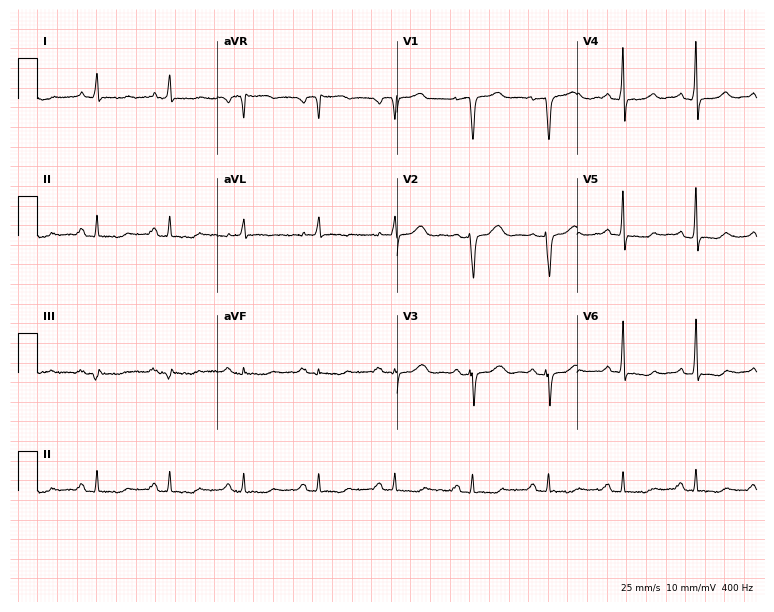
Standard 12-lead ECG recorded from a 68-year-old woman (7.3-second recording at 400 Hz). None of these six findings is recorded: first-degree AV block, right bundle branch block (RBBB), left bundle branch block (LBBB), sinus bradycardia, atrial fibrillation (AF), sinus tachycardia. Other findings, if any, are not listed.